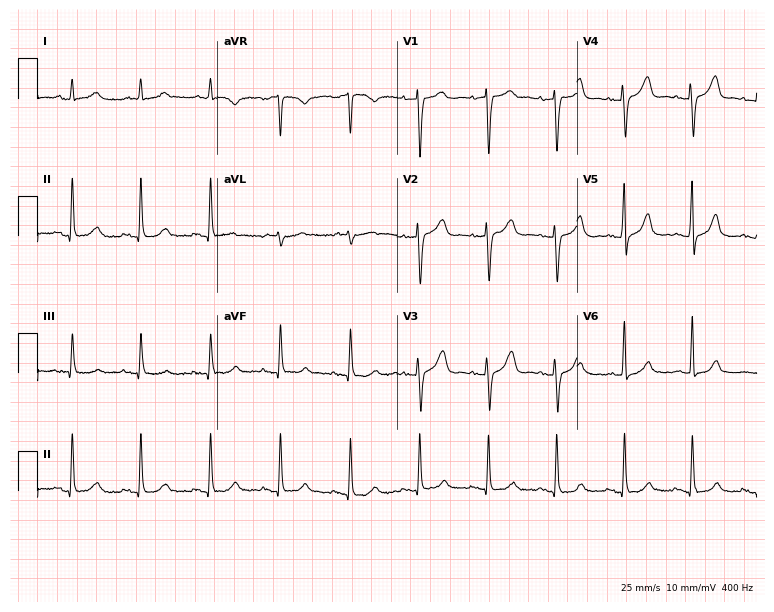
Resting 12-lead electrocardiogram (7.3-second recording at 400 Hz). Patient: a female, 81 years old. None of these six findings is recorded: first-degree AV block, right bundle branch block (RBBB), left bundle branch block (LBBB), sinus bradycardia, atrial fibrillation (AF), sinus tachycardia. Only these six findings were labelled.